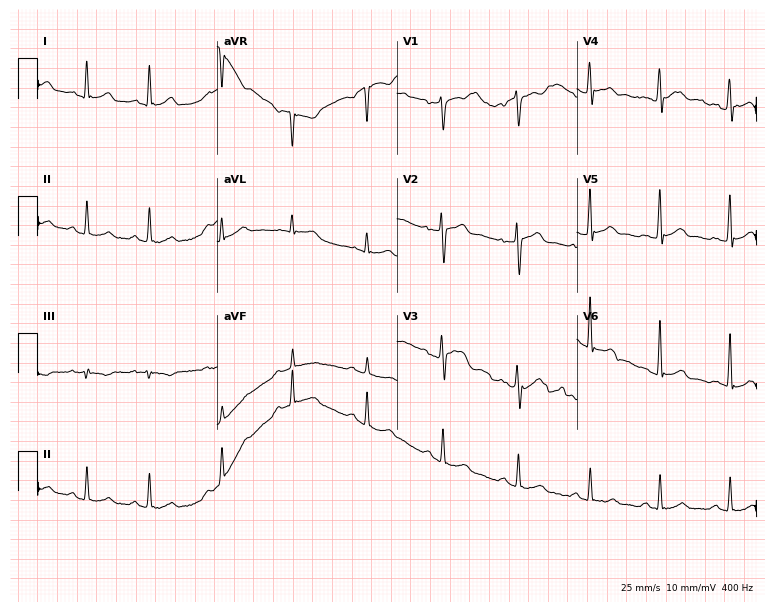
Electrocardiogram (7.3-second recording at 400 Hz), a male patient, 47 years old. Of the six screened findings (first-degree AV block, right bundle branch block, left bundle branch block, sinus bradycardia, atrial fibrillation, sinus tachycardia), none is recorded. Findings outside these six are not listed.